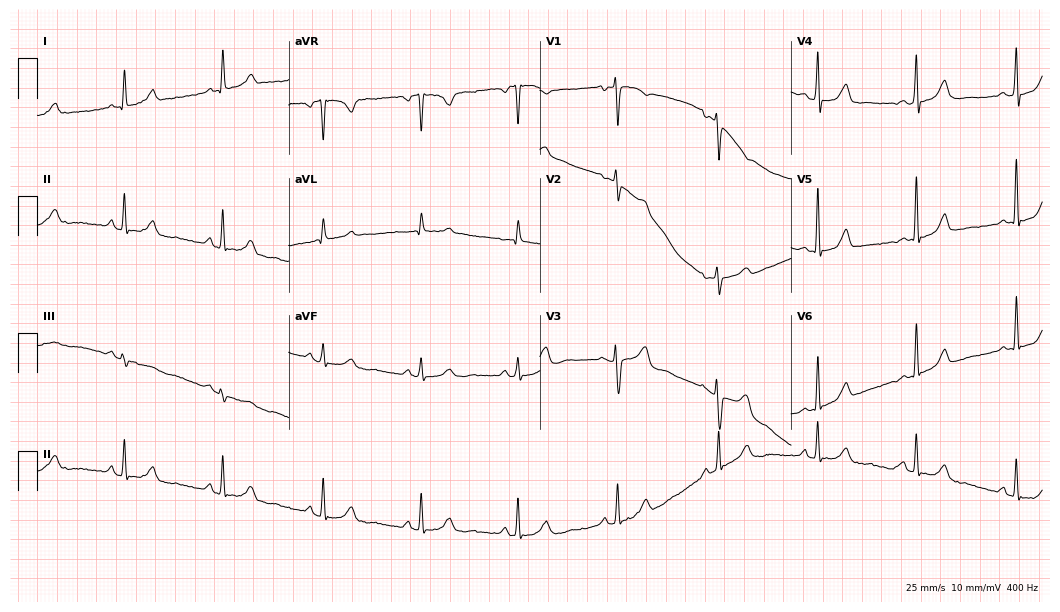
12-lead ECG from a 57-year-old female patient. Labelled as a normal ECG.